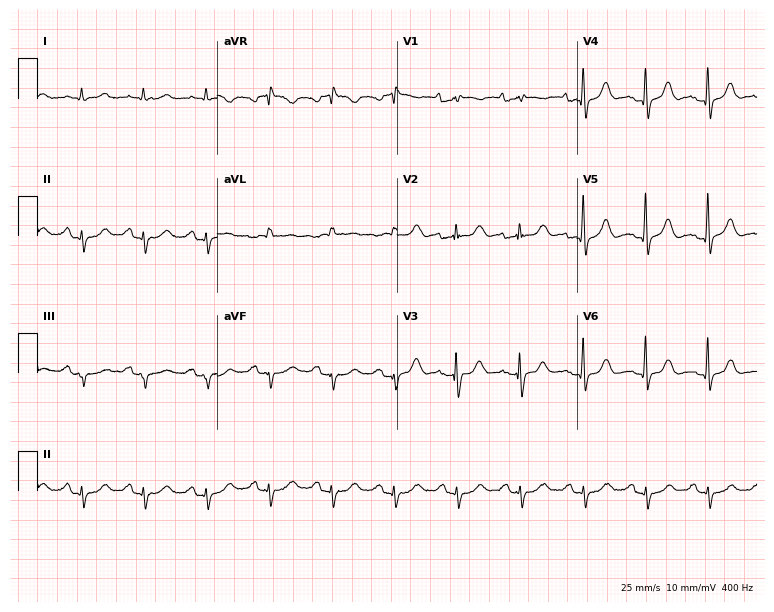
ECG (7.3-second recording at 400 Hz) — a female, 85 years old. Screened for six findings — first-degree AV block, right bundle branch block, left bundle branch block, sinus bradycardia, atrial fibrillation, sinus tachycardia — none is recorded.